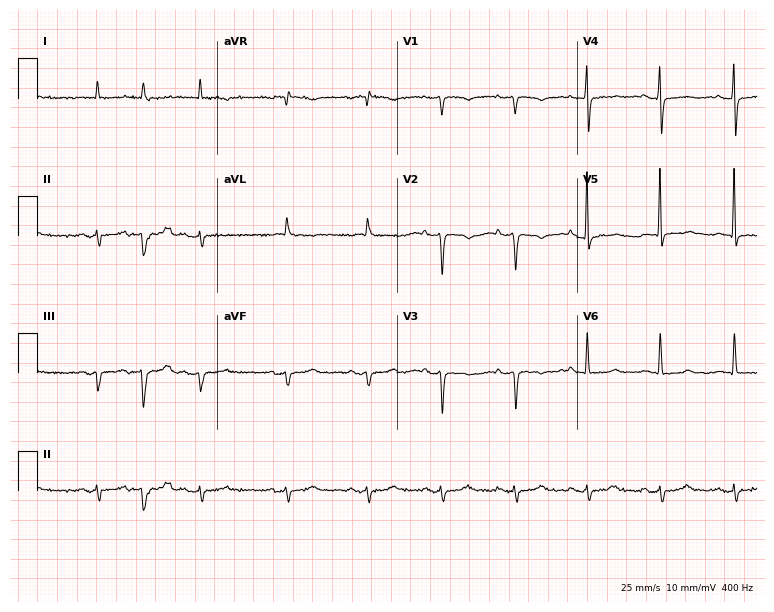
12-lead ECG from a 74-year-old female patient (7.3-second recording at 400 Hz). No first-degree AV block, right bundle branch block (RBBB), left bundle branch block (LBBB), sinus bradycardia, atrial fibrillation (AF) or sinus tachycardia recorded for this tracing.